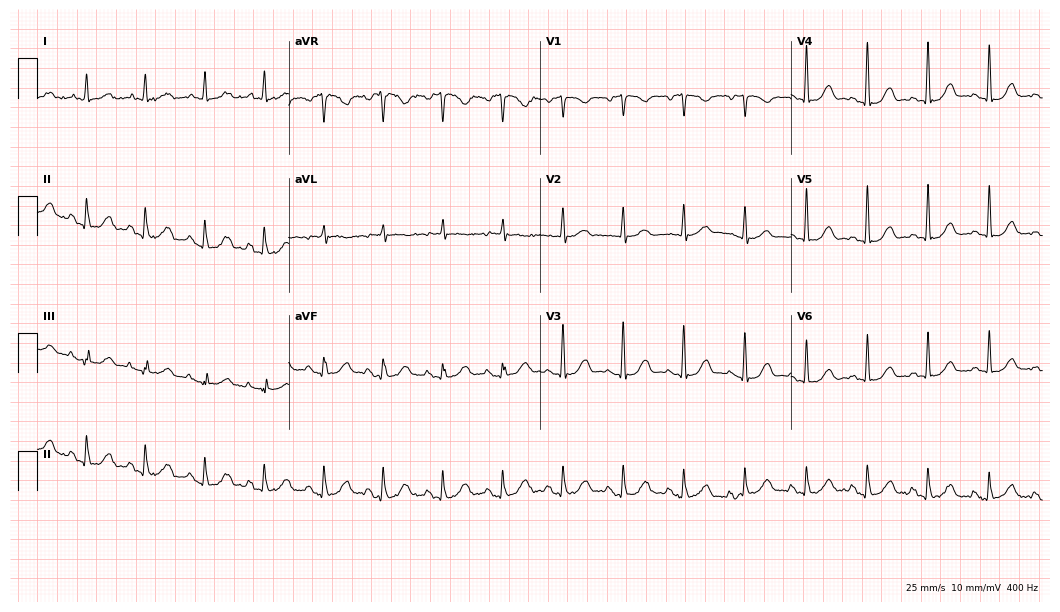
Standard 12-lead ECG recorded from a female patient, 74 years old (10.2-second recording at 400 Hz). None of these six findings is recorded: first-degree AV block, right bundle branch block, left bundle branch block, sinus bradycardia, atrial fibrillation, sinus tachycardia. Findings outside these six are not listed.